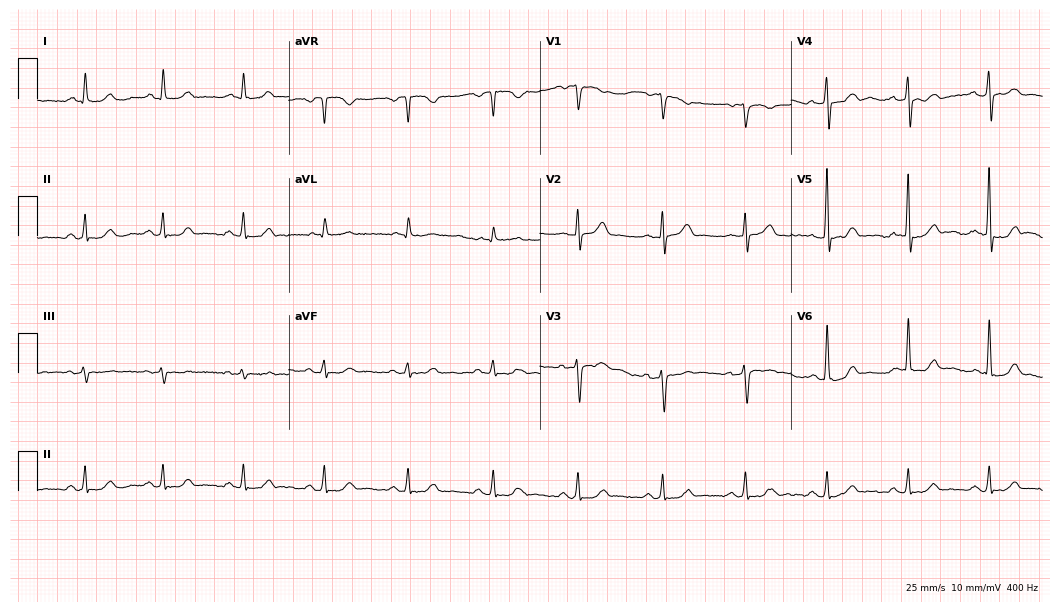
Standard 12-lead ECG recorded from a 59-year-old female. Read as a normal ECG.